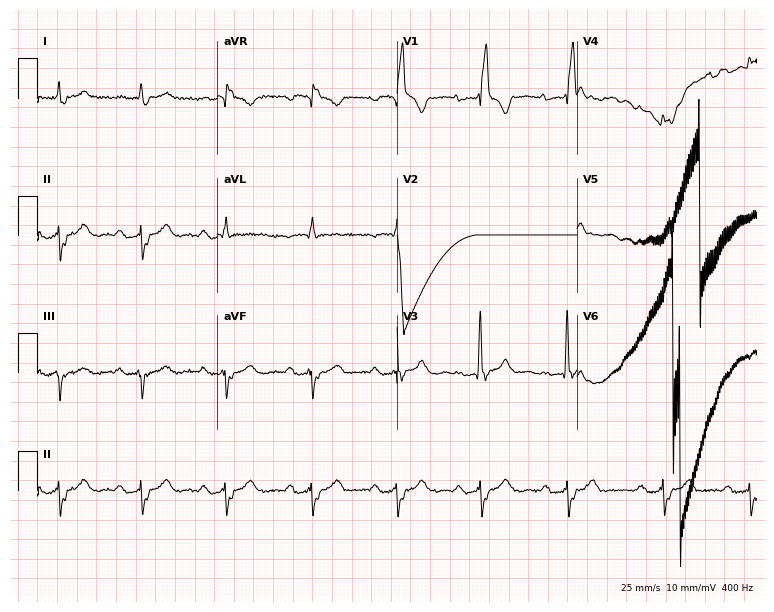
12-lead ECG from a 76-year-old man. Screened for six findings — first-degree AV block, right bundle branch block, left bundle branch block, sinus bradycardia, atrial fibrillation, sinus tachycardia — none is recorded. Other findings, if any, are not listed.